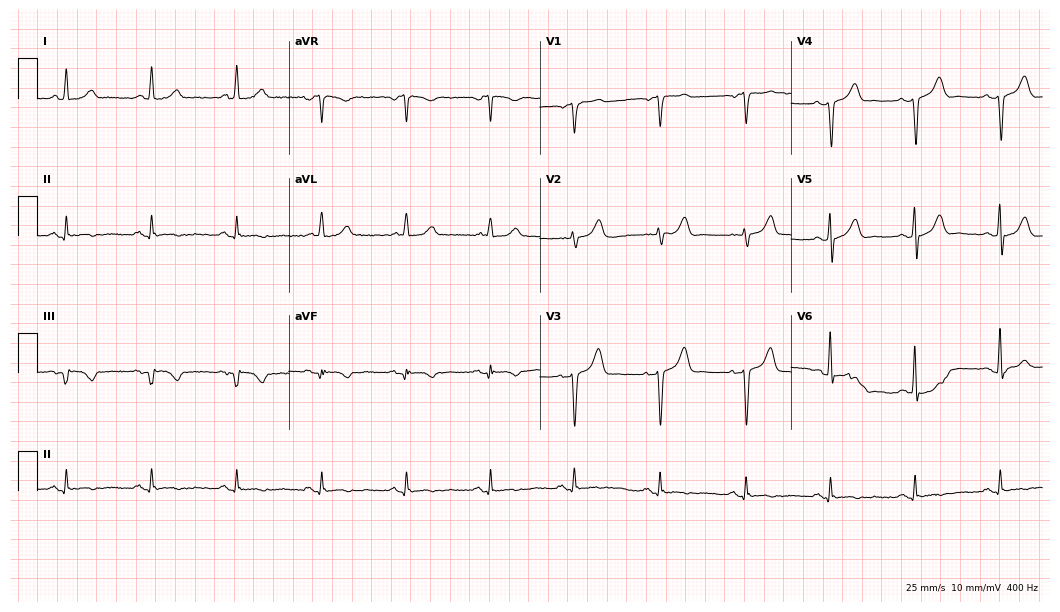
Resting 12-lead electrocardiogram (10.2-second recording at 400 Hz). Patient: a man, 60 years old. None of these six findings is recorded: first-degree AV block, right bundle branch block, left bundle branch block, sinus bradycardia, atrial fibrillation, sinus tachycardia.